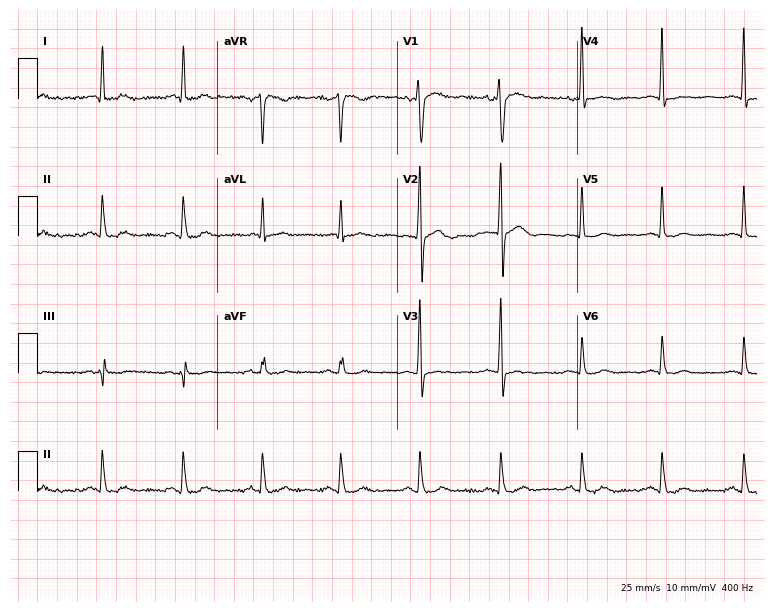
12-lead ECG (7.3-second recording at 400 Hz) from a male patient, 55 years old. Labelled as a normal ECG.